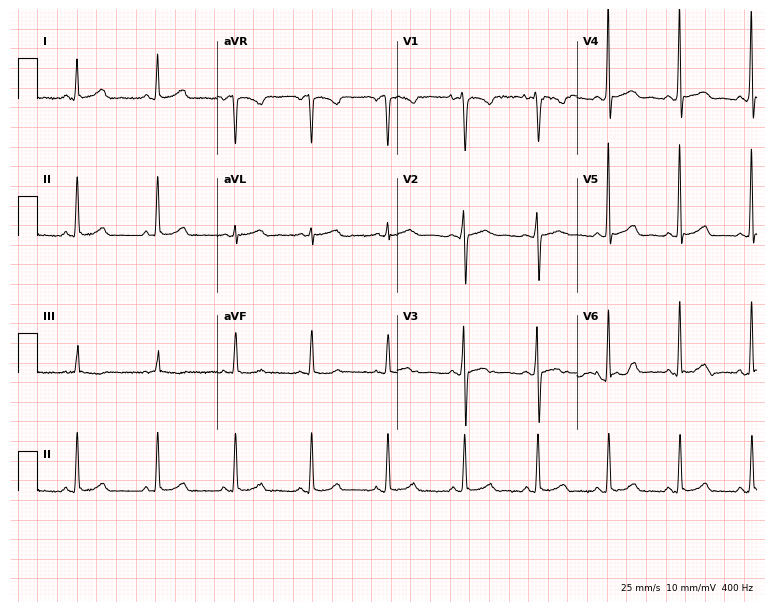
12-lead ECG from a 39-year-old woman. Labelled as a normal ECG.